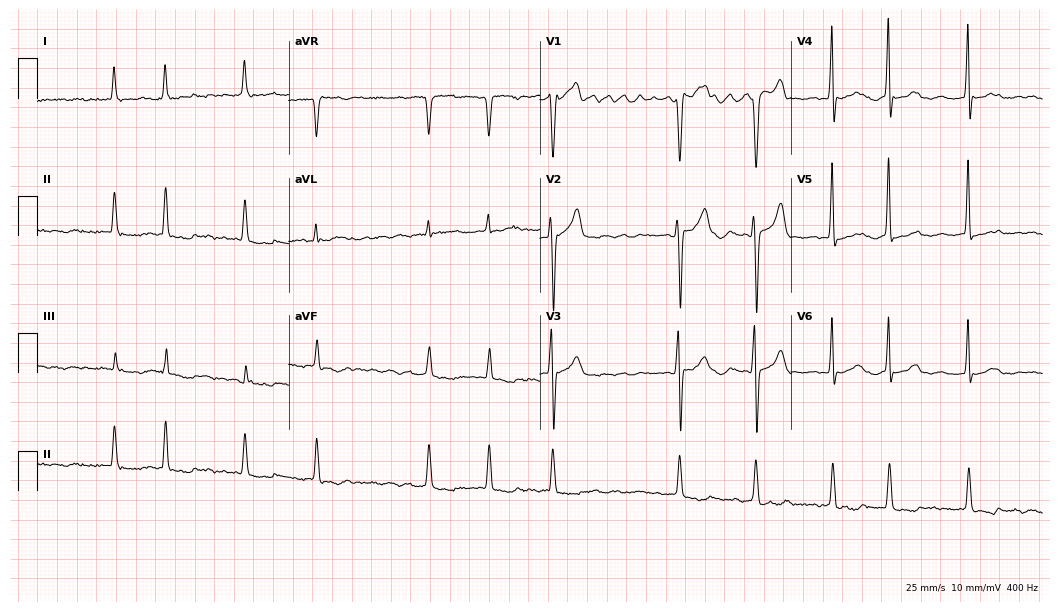
Electrocardiogram, a 68-year-old man. Interpretation includes atrial fibrillation.